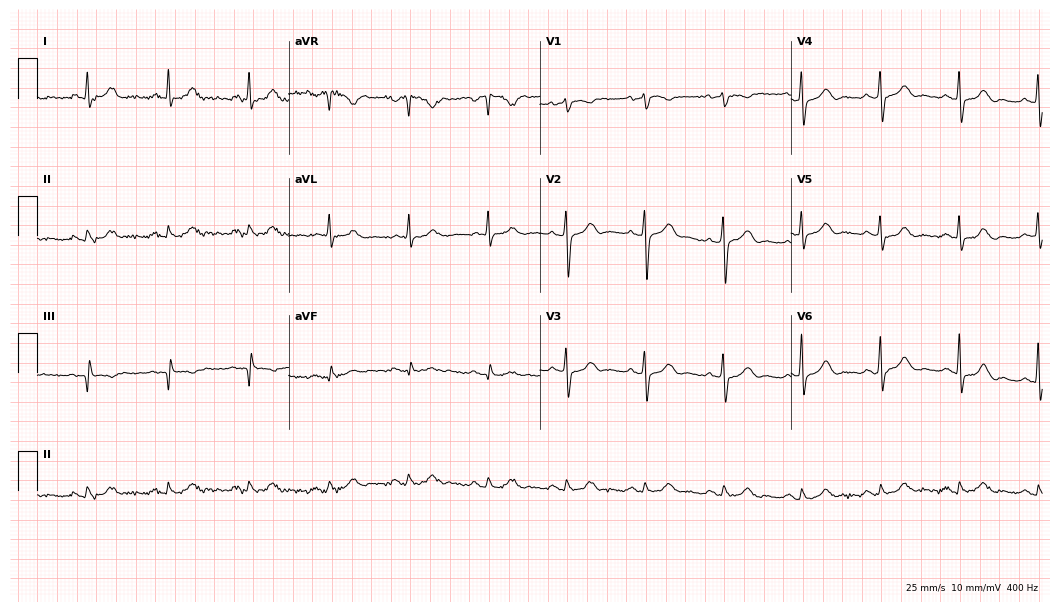
12-lead ECG from a 75-year-old male. Labelled as a normal ECG.